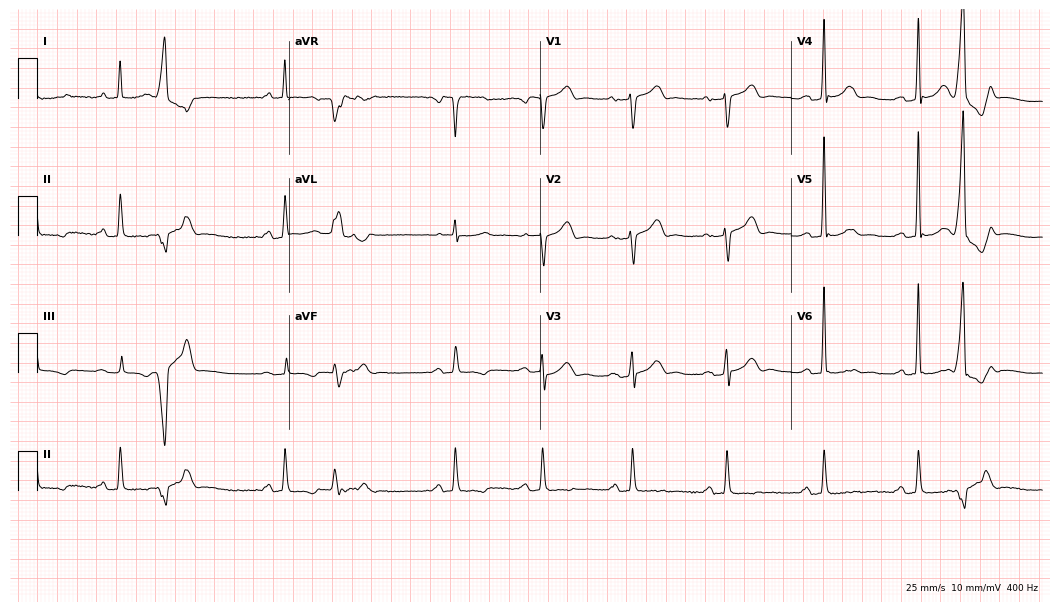
Electrocardiogram (10.2-second recording at 400 Hz), a male, 62 years old. Of the six screened findings (first-degree AV block, right bundle branch block (RBBB), left bundle branch block (LBBB), sinus bradycardia, atrial fibrillation (AF), sinus tachycardia), none is recorded. Other findings, if any, are not listed.